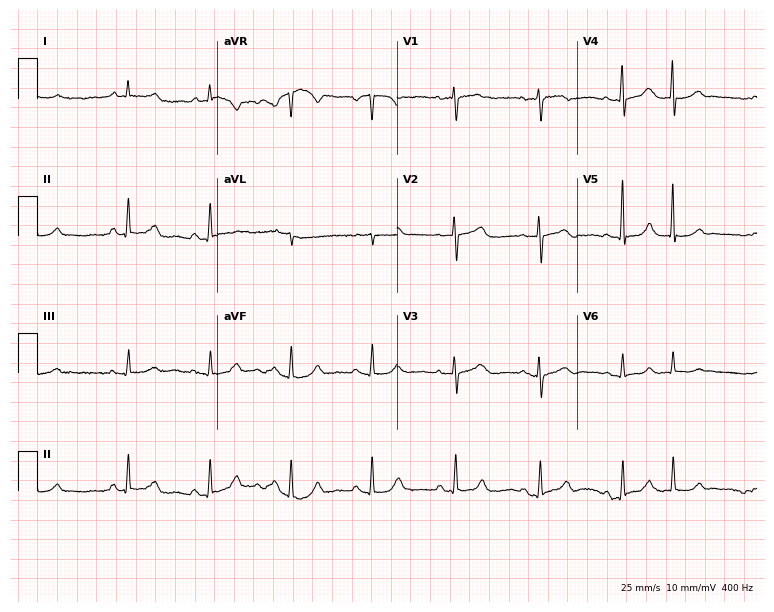
12-lead ECG from an 85-year-old woman (7.3-second recording at 400 Hz). No first-degree AV block, right bundle branch block (RBBB), left bundle branch block (LBBB), sinus bradycardia, atrial fibrillation (AF) or sinus tachycardia recorded for this tracing.